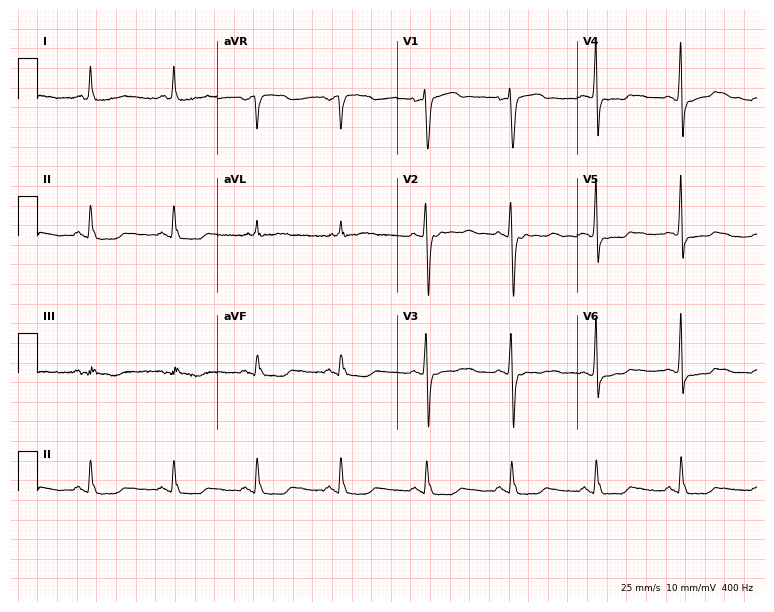
Standard 12-lead ECG recorded from a 63-year-old female patient. None of these six findings is recorded: first-degree AV block, right bundle branch block (RBBB), left bundle branch block (LBBB), sinus bradycardia, atrial fibrillation (AF), sinus tachycardia. Findings outside these six are not listed.